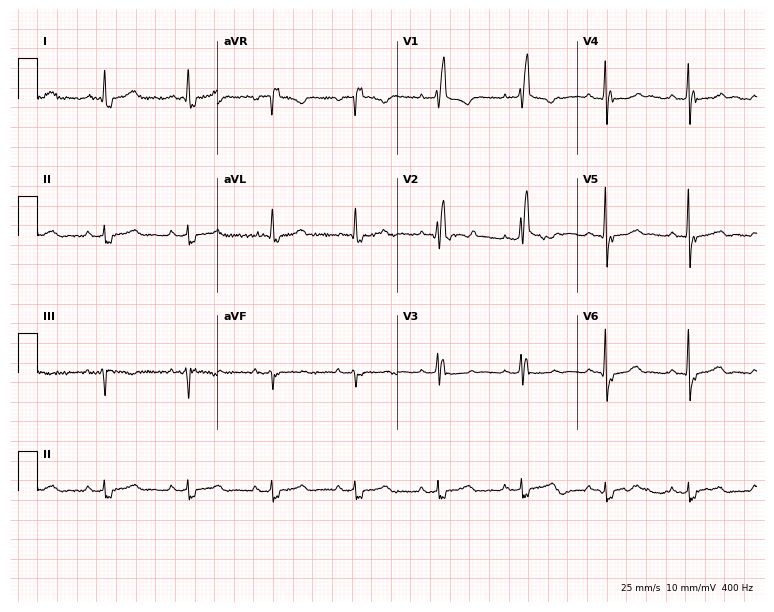
ECG — a female patient, 73 years old. Screened for six findings — first-degree AV block, right bundle branch block, left bundle branch block, sinus bradycardia, atrial fibrillation, sinus tachycardia — none is recorded.